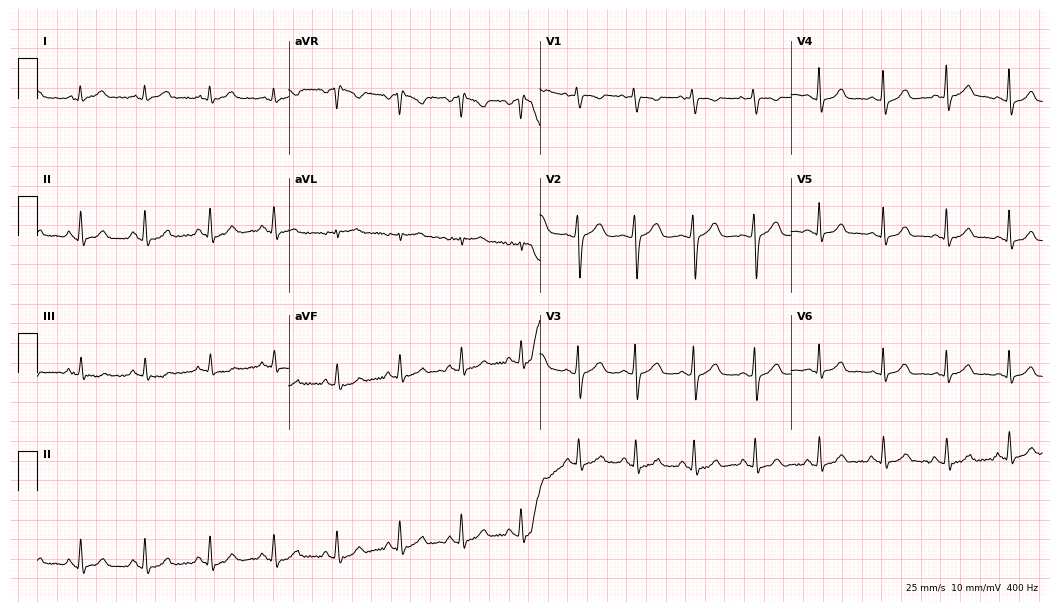
ECG (10.2-second recording at 400 Hz) — a 32-year-old female. Labelled as a normal ECG.